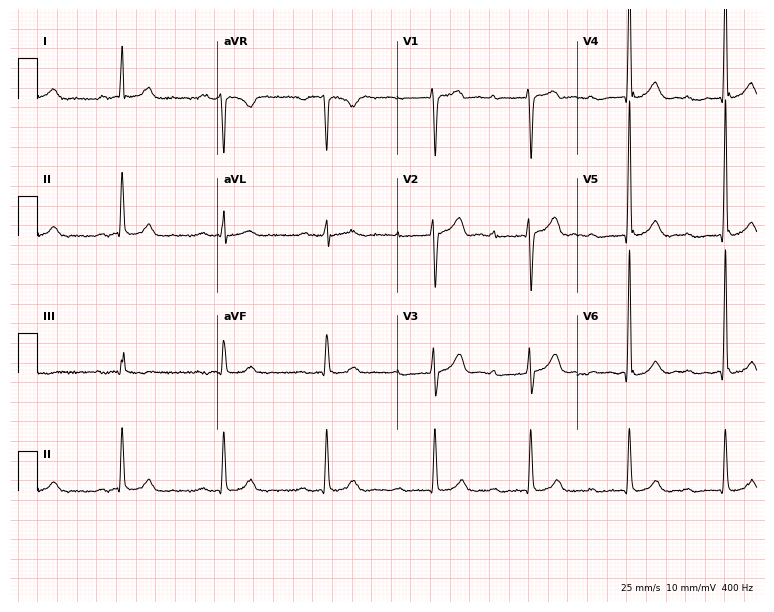
12-lead ECG from a male, 49 years old. Recorded interpretation: within normal limits.